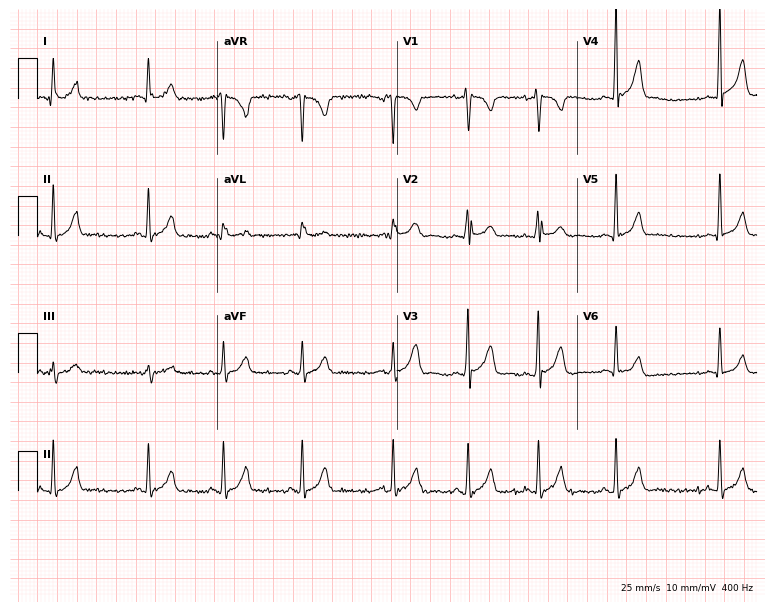
Electrocardiogram (7.3-second recording at 400 Hz), a 30-year-old woman. Of the six screened findings (first-degree AV block, right bundle branch block (RBBB), left bundle branch block (LBBB), sinus bradycardia, atrial fibrillation (AF), sinus tachycardia), none is recorded. Other findings, if any, are not listed.